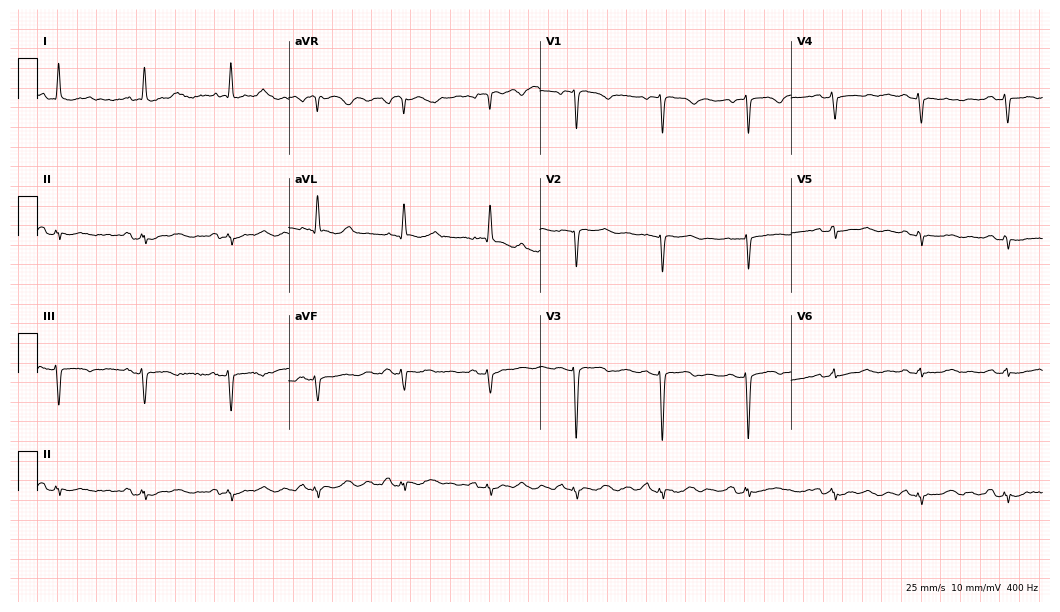
Electrocardiogram, a female, 81 years old. Of the six screened findings (first-degree AV block, right bundle branch block, left bundle branch block, sinus bradycardia, atrial fibrillation, sinus tachycardia), none is recorded.